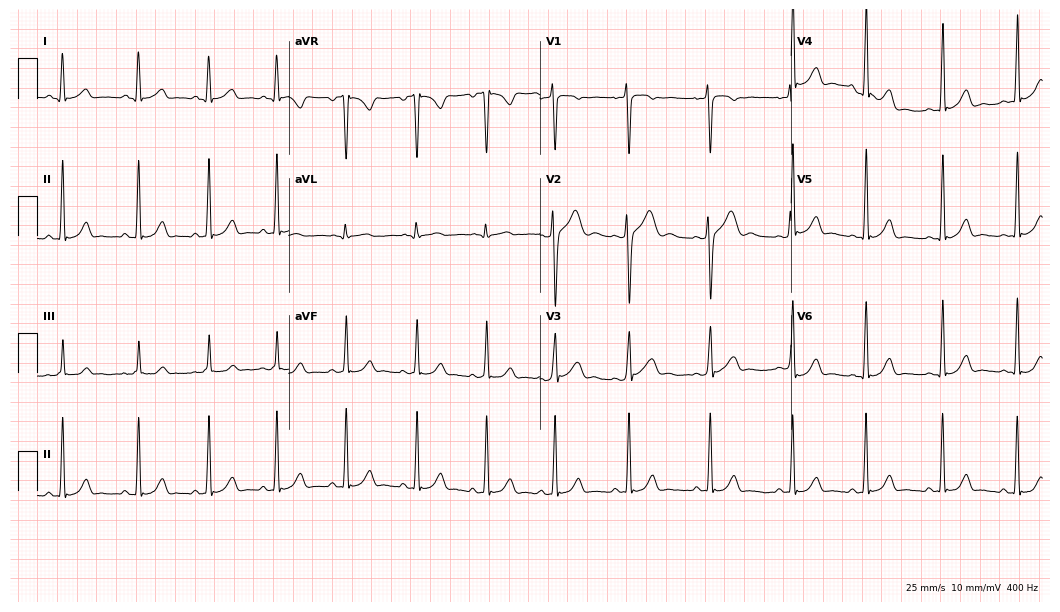
Standard 12-lead ECG recorded from a 17-year-old female patient. Read as a normal ECG.